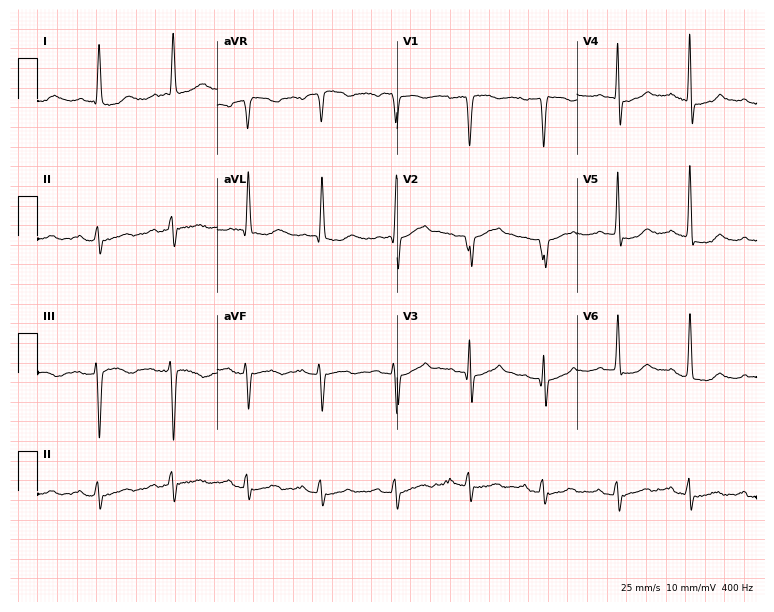
12-lead ECG from a female, 82 years old (7.3-second recording at 400 Hz). No first-degree AV block, right bundle branch block, left bundle branch block, sinus bradycardia, atrial fibrillation or sinus tachycardia recorded for this tracing. Findings outside these six are not listed.